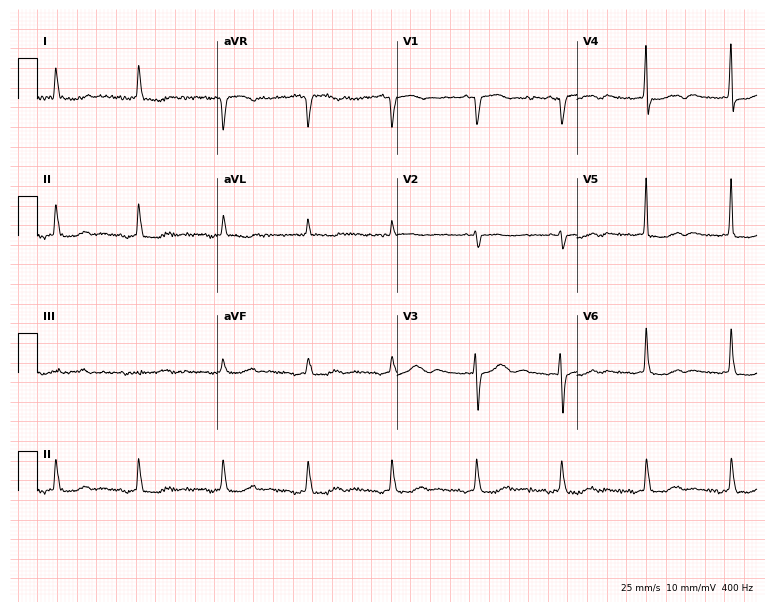
Standard 12-lead ECG recorded from a 72-year-old female (7.3-second recording at 400 Hz). None of these six findings is recorded: first-degree AV block, right bundle branch block (RBBB), left bundle branch block (LBBB), sinus bradycardia, atrial fibrillation (AF), sinus tachycardia. Other findings, if any, are not listed.